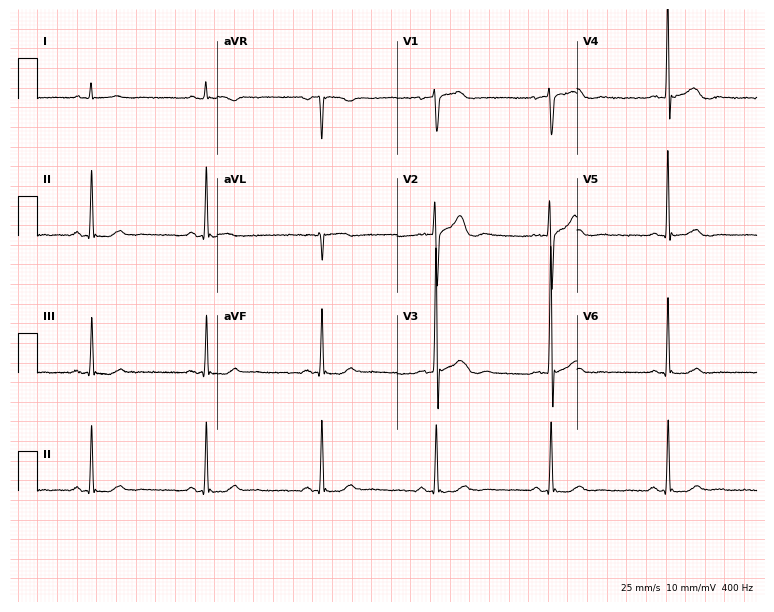
12-lead ECG from a 65-year-old male patient (7.3-second recording at 400 Hz). No first-degree AV block, right bundle branch block, left bundle branch block, sinus bradycardia, atrial fibrillation or sinus tachycardia recorded for this tracing. Findings outside these six are not listed.